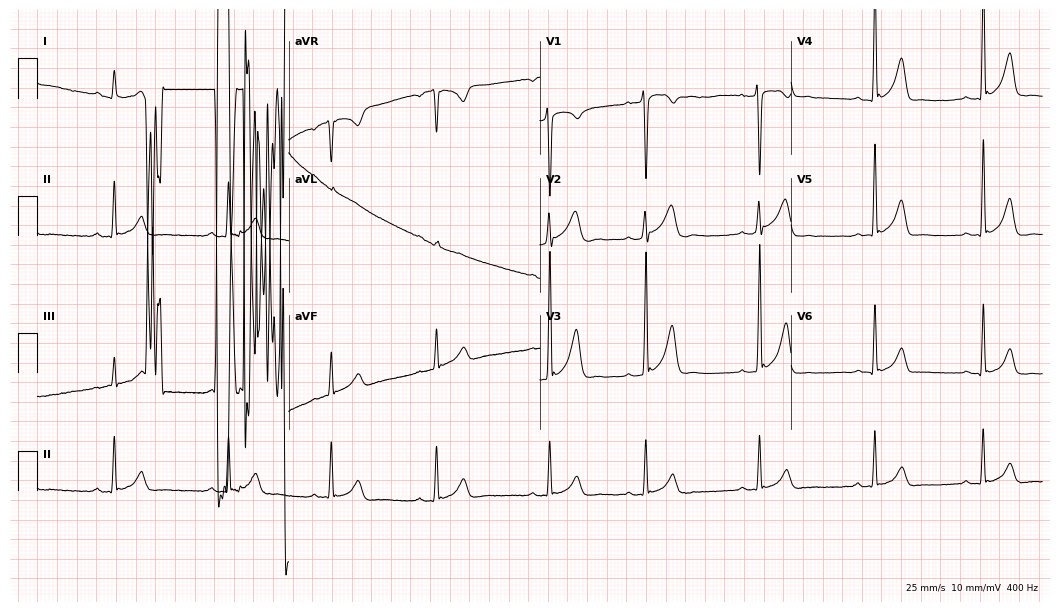
Standard 12-lead ECG recorded from a male patient, 22 years old. None of these six findings is recorded: first-degree AV block, right bundle branch block, left bundle branch block, sinus bradycardia, atrial fibrillation, sinus tachycardia.